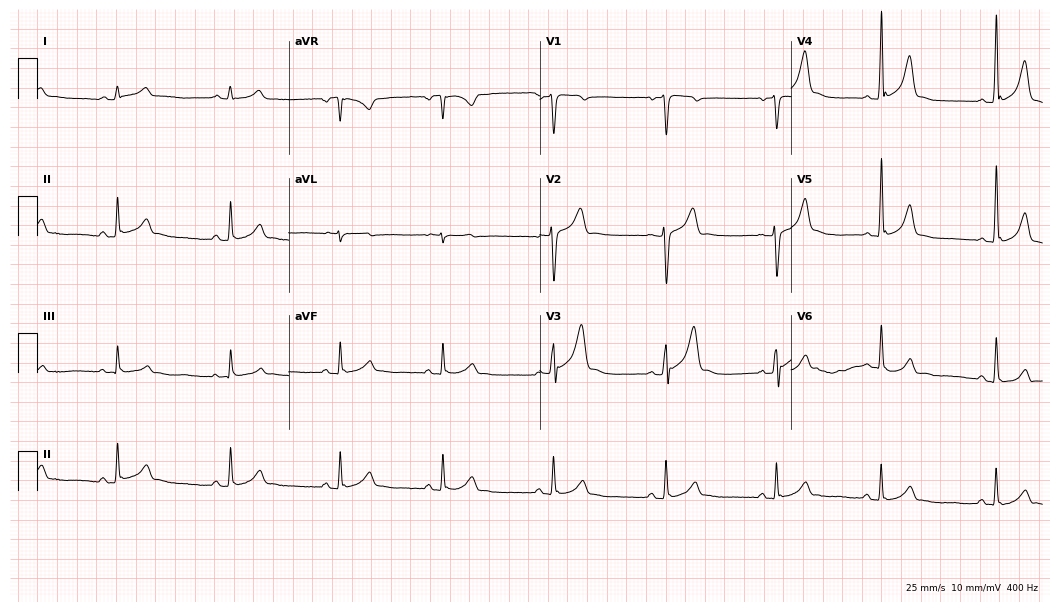
12-lead ECG from a 32-year-old man (10.2-second recording at 400 Hz). Recorded interpretation: within normal limits.